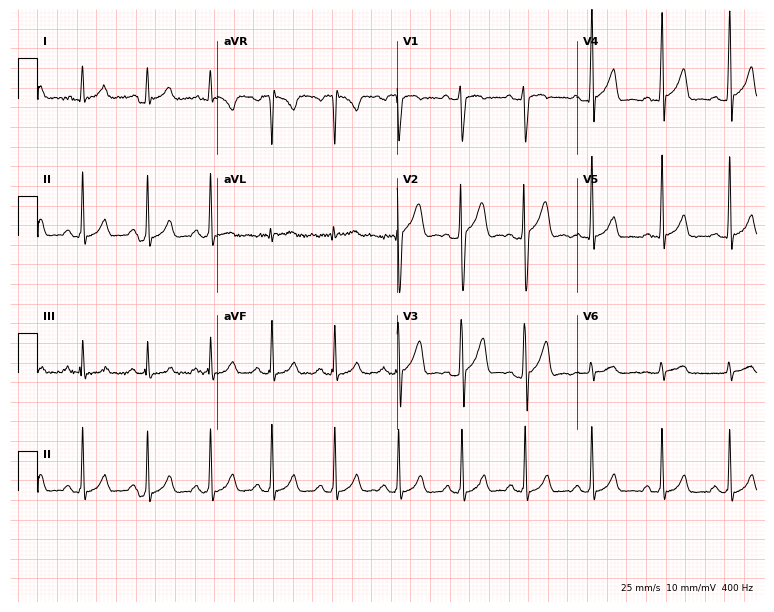
12-lead ECG from a male, 18 years old. Recorded interpretation: within normal limits.